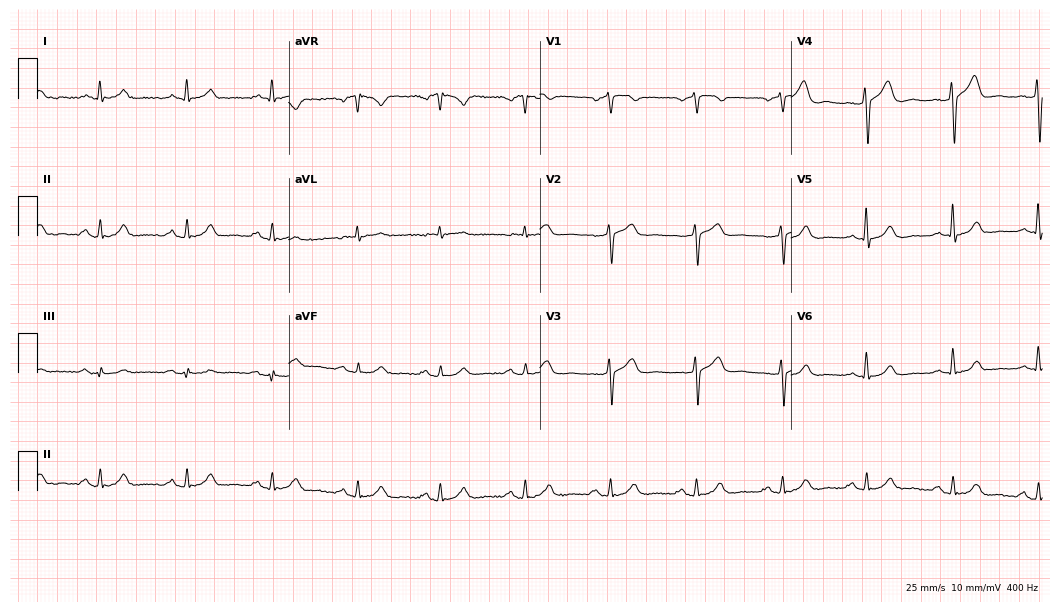
12-lead ECG from a 66-year-old male (10.2-second recording at 400 Hz). Recorded interpretation: within normal limits.